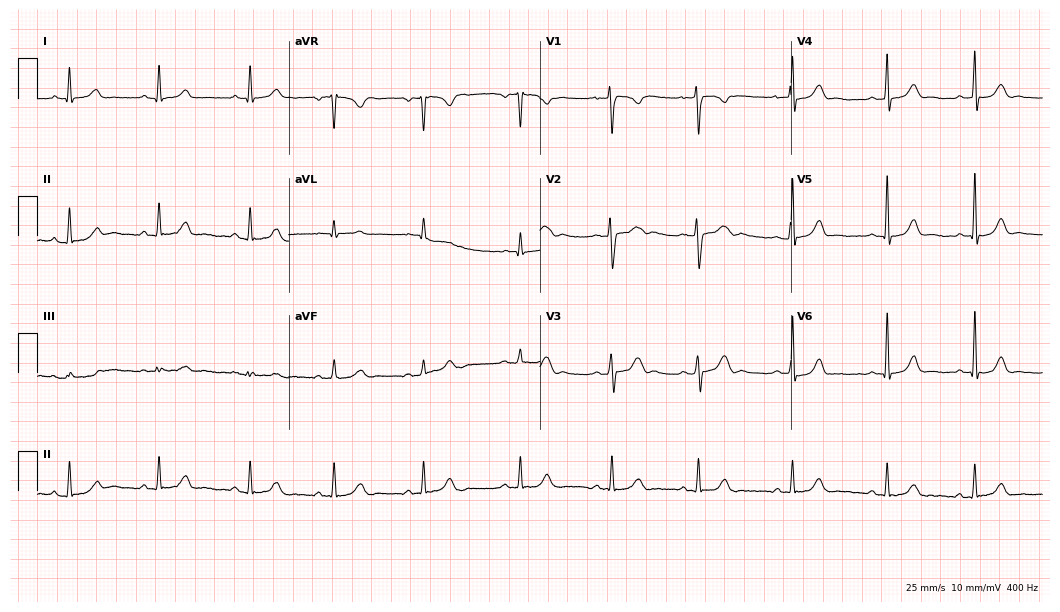
ECG (10.2-second recording at 400 Hz) — a 23-year-old woman. Labelled as a normal ECG.